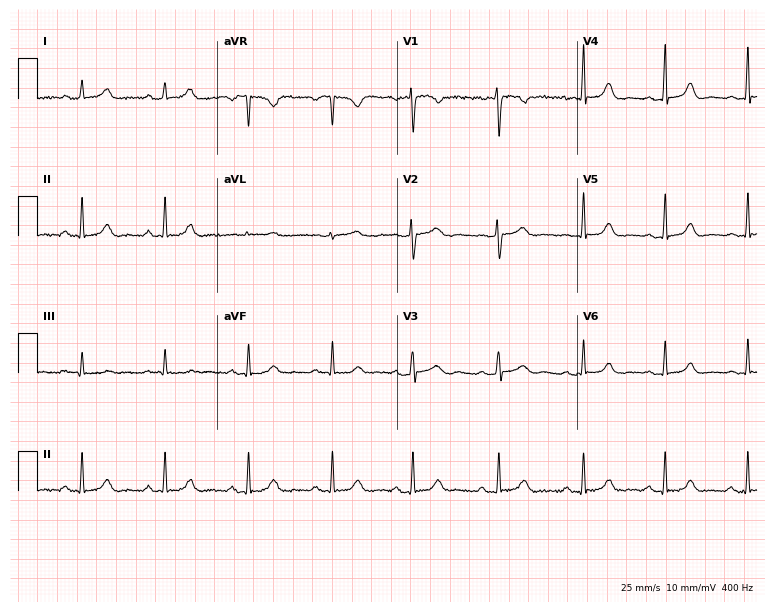
Resting 12-lead electrocardiogram. Patient: a female, 33 years old. Read as a normal ECG.